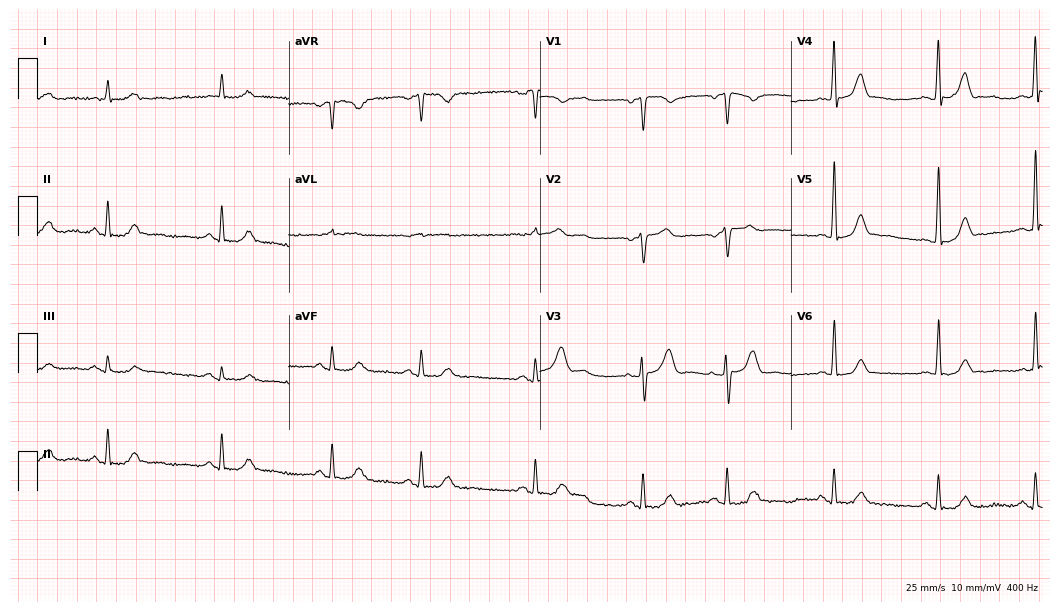
Electrocardiogram, a male, 79 years old. Of the six screened findings (first-degree AV block, right bundle branch block, left bundle branch block, sinus bradycardia, atrial fibrillation, sinus tachycardia), none is recorded. Findings outside these six are not listed.